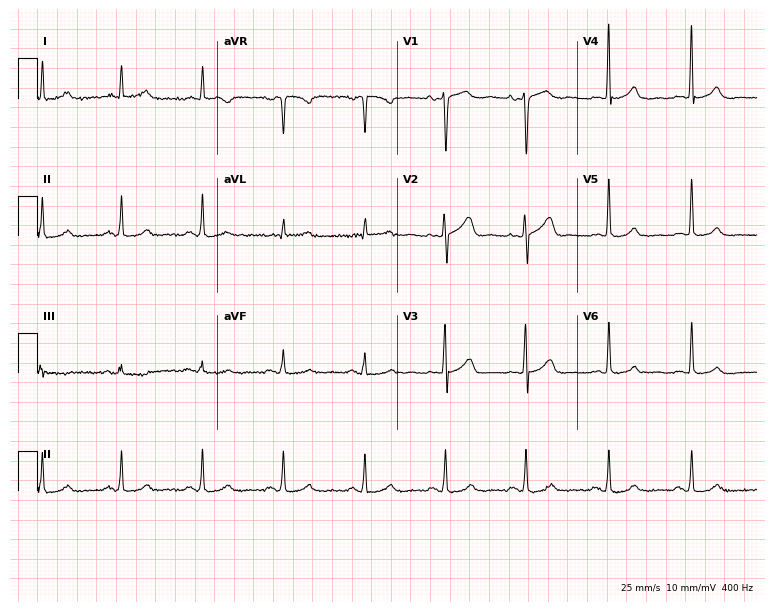
Resting 12-lead electrocardiogram (7.3-second recording at 400 Hz). Patient: a 45-year-old woman. Read as a normal ECG.